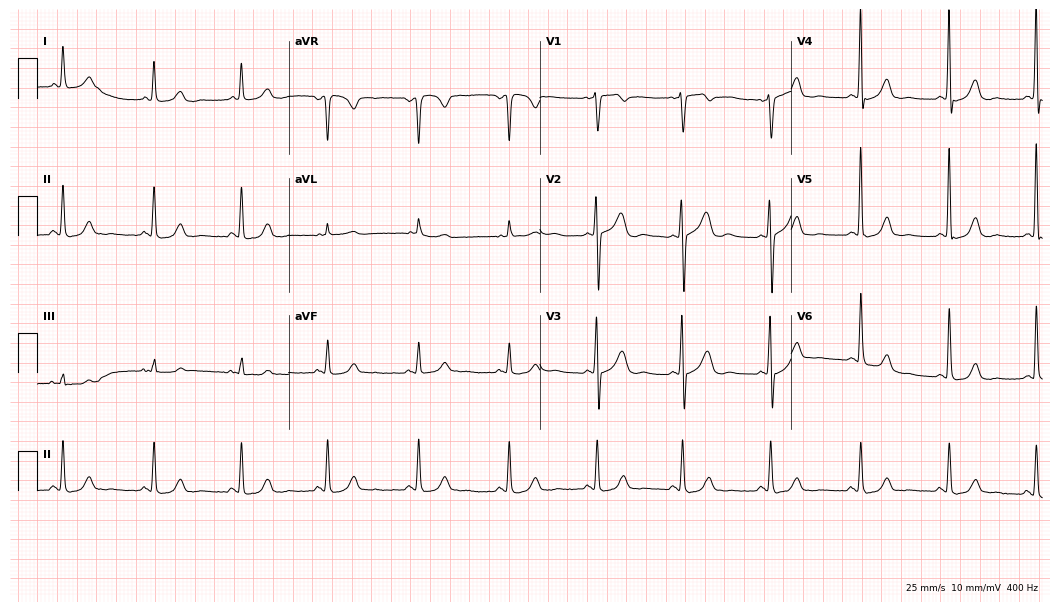
Electrocardiogram, a 60-year-old female patient. Of the six screened findings (first-degree AV block, right bundle branch block, left bundle branch block, sinus bradycardia, atrial fibrillation, sinus tachycardia), none is recorded.